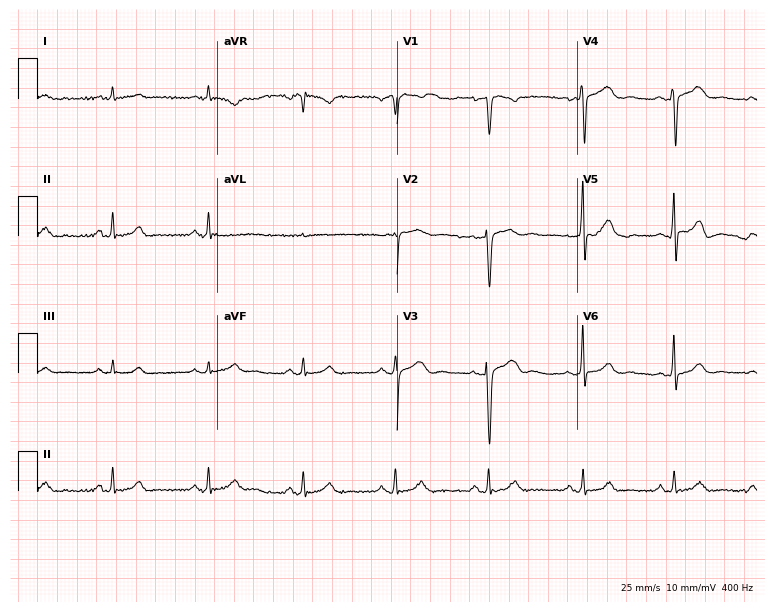
Standard 12-lead ECG recorded from a male, 79 years old (7.3-second recording at 400 Hz). Read as a normal ECG.